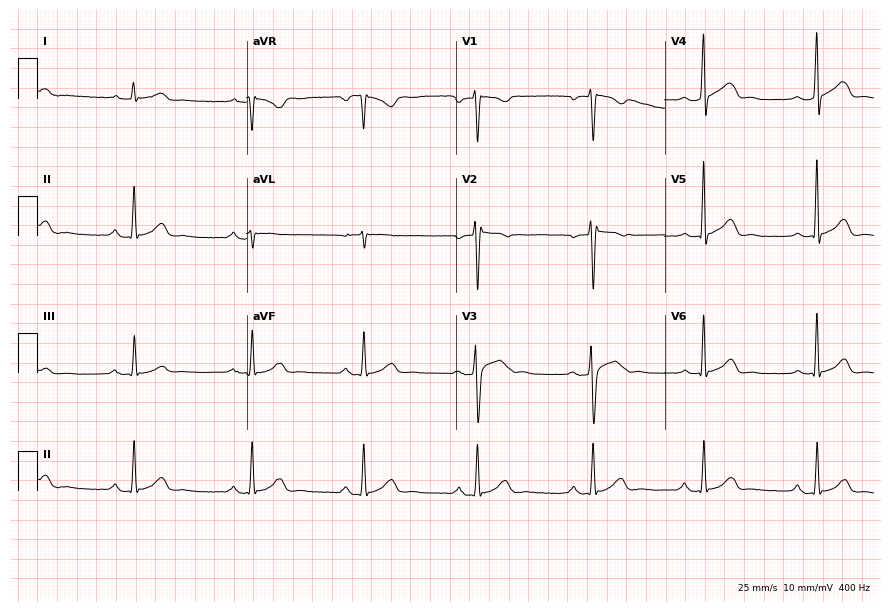
ECG — a 47-year-old male. Findings include first-degree AV block.